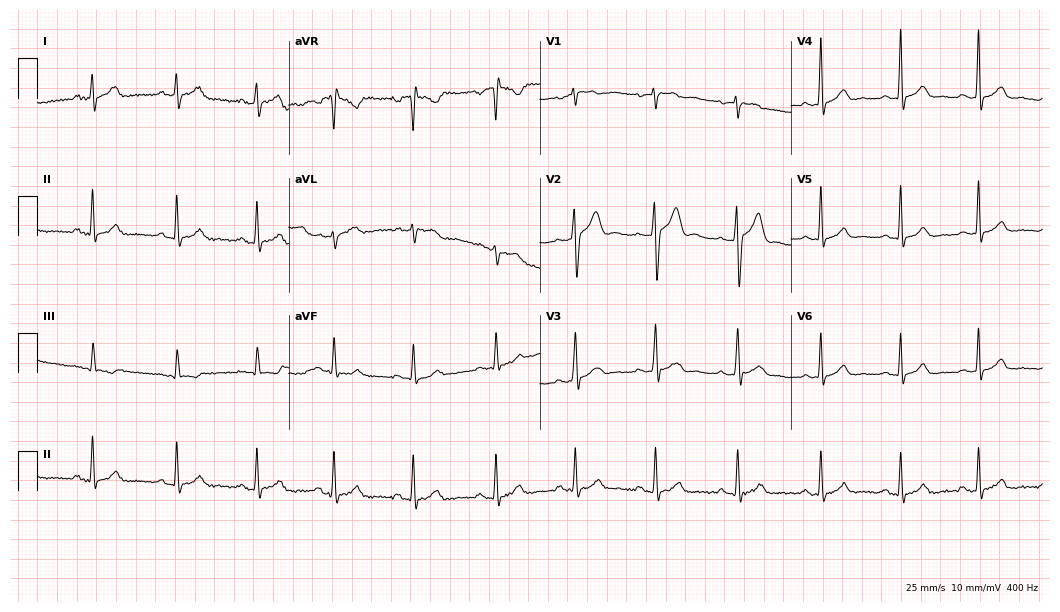
Standard 12-lead ECG recorded from a man, 41 years old (10.2-second recording at 400 Hz). Read as a normal ECG.